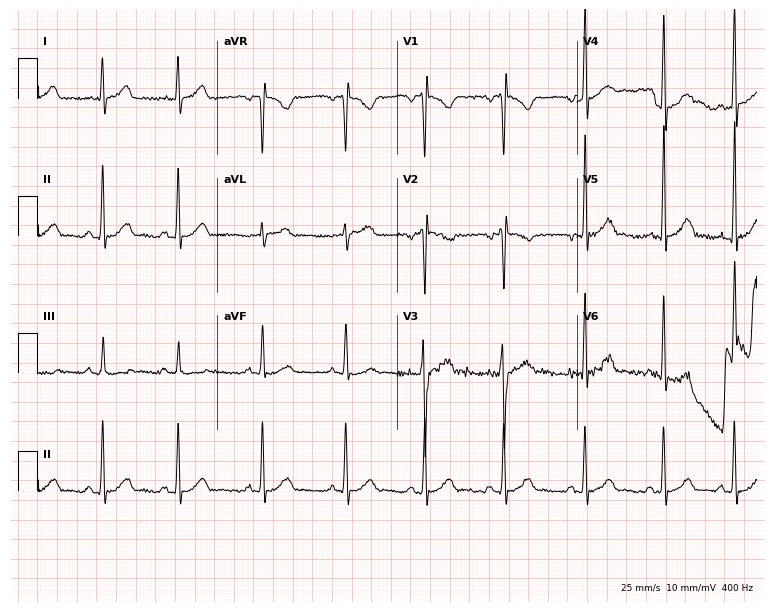
Resting 12-lead electrocardiogram. Patient: a man, 18 years old. Read as a normal ECG.